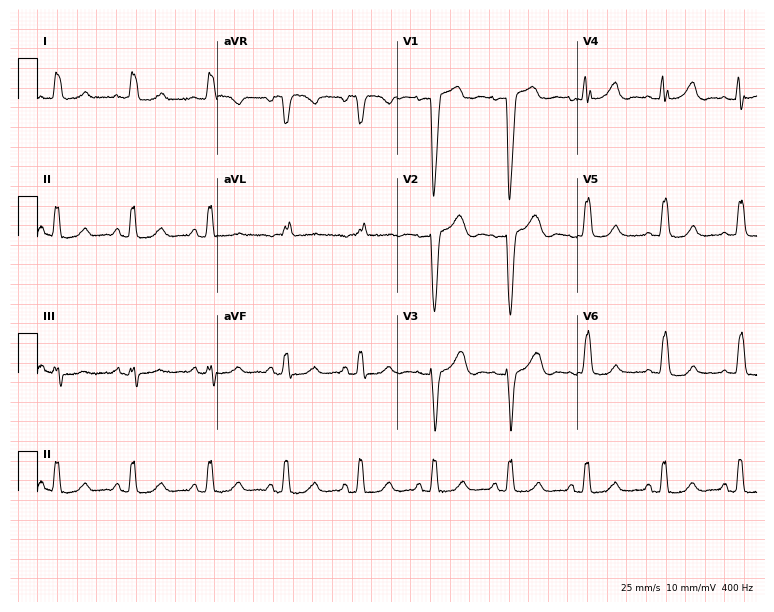
12-lead ECG (7.3-second recording at 400 Hz) from a woman, 66 years old. Findings include left bundle branch block.